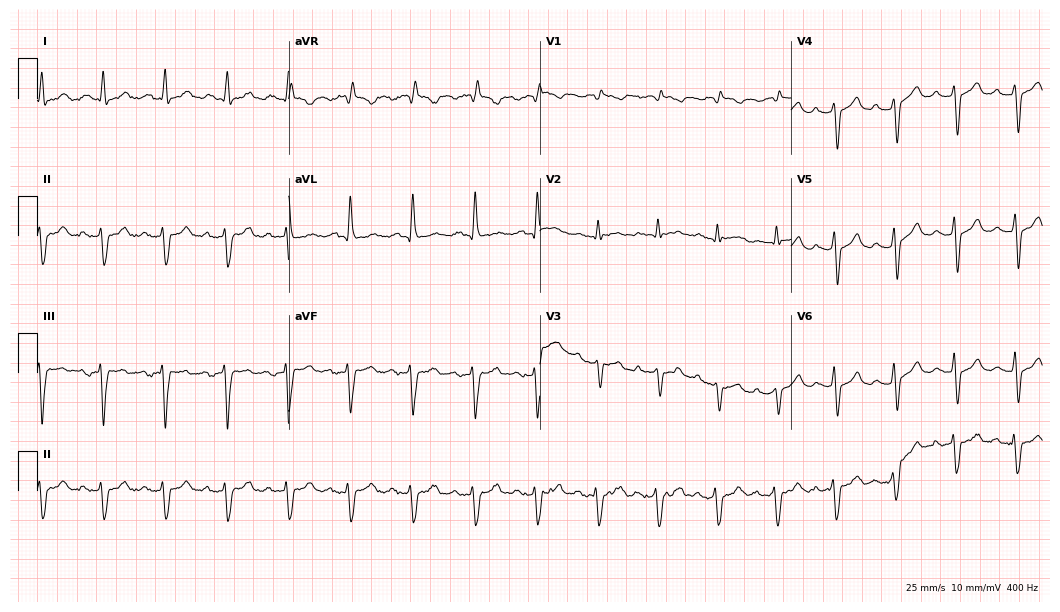
Resting 12-lead electrocardiogram. Patient: a male, 77 years old. None of these six findings is recorded: first-degree AV block, right bundle branch block, left bundle branch block, sinus bradycardia, atrial fibrillation, sinus tachycardia. Other findings, if any, are not listed.